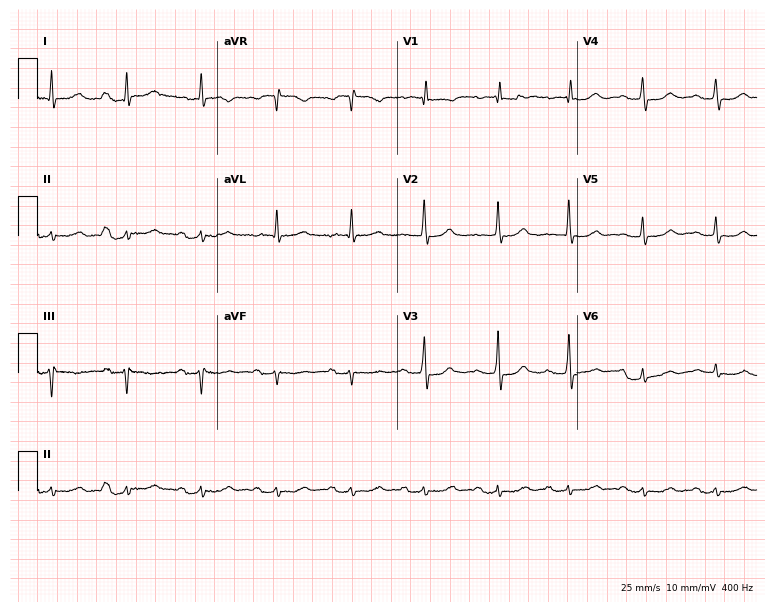
Resting 12-lead electrocardiogram. Patient: a female, 81 years old. None of these six findings is recorded: first-degree AV block, right bundle branch block, left bundle branch block, sinus bradycardia, atrial fibrillation, sinus tachycardia.